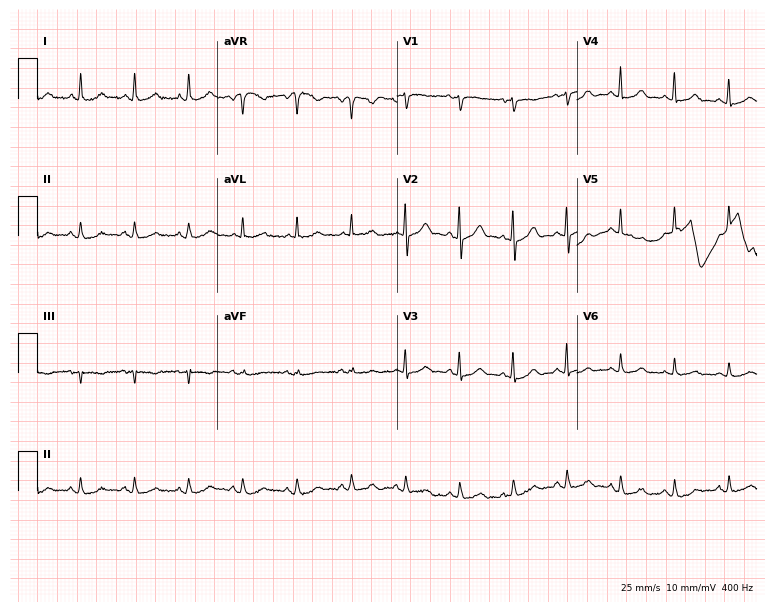
Electrocardiogram (7.3-second recording at 400 Hz), a female patient, 63 years old. Of the six screened findings (first-degree AV block, right bundle branch block, left bundle branch block, sinus bradycardia, atrial fibrillation, sinus tachycardia), none is recorded. Findings outside these six are not listed.